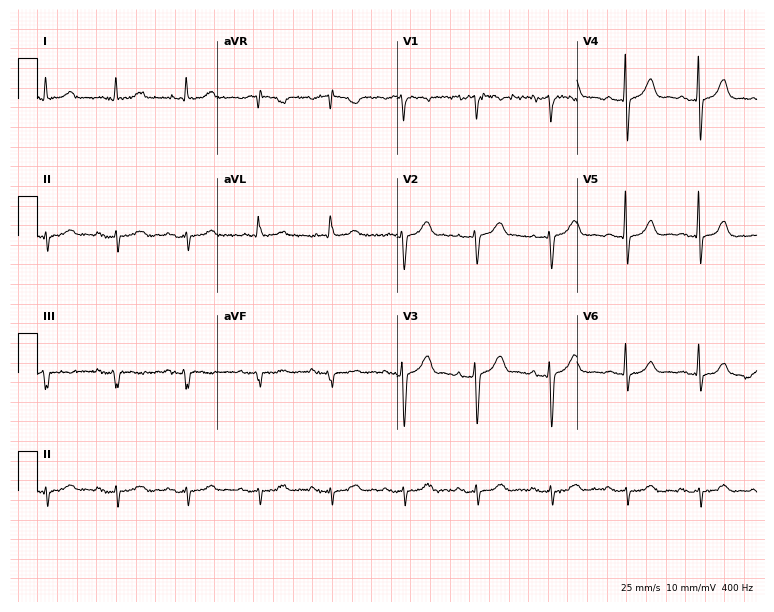
12-lead ECG from a female, 85 years old. Screened for six findings — first-degree AV block, right bundle branch block (RBBB), left bundle branch block (LBBB), sinus bradycardia, atrial fibrillation (AF), sinus tachycardia — none is recorded. Findings outside these six are not listed.